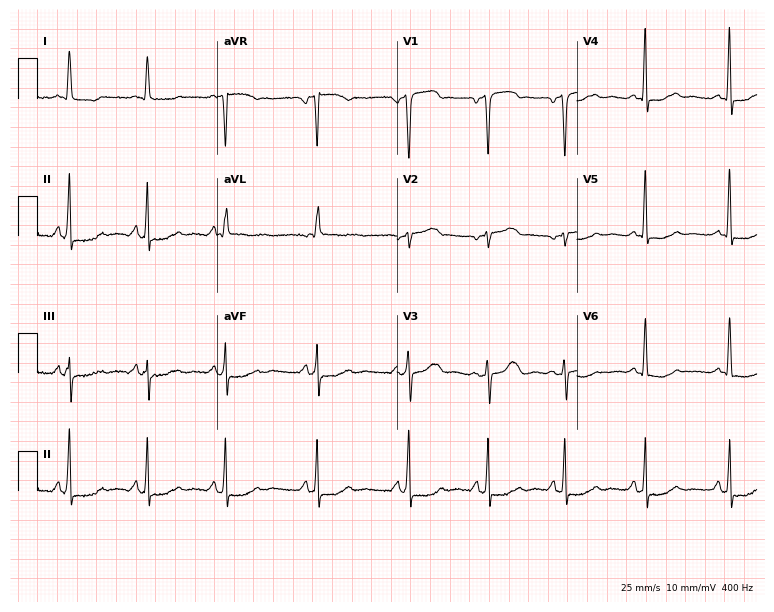
Standard 12-lead ECG recorded from a 59-year-old female. None of these six findings is recorded: first-degree AV block, right bundle branch block (RBBB), left bundle branch block (LBBB), sinus bradycardia, atrial fibrillation (AF), sinus tachycardia.